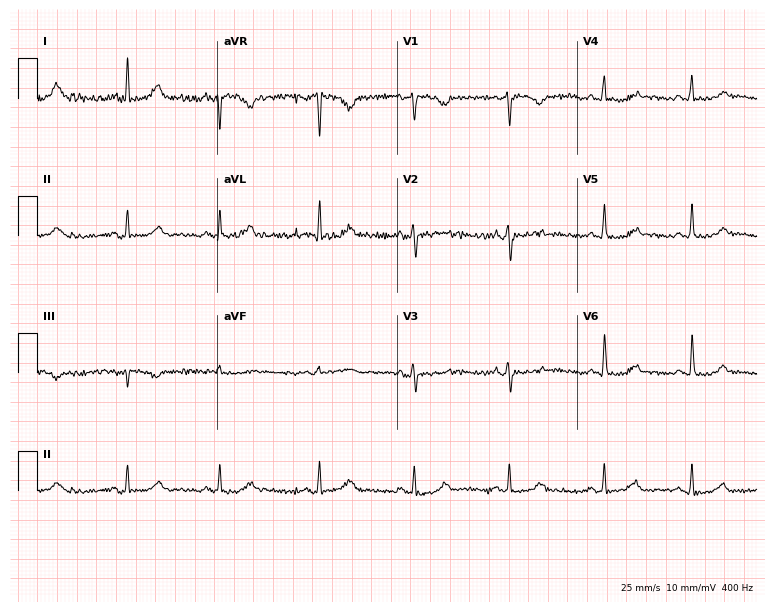
12-lead ECG (7.3-second recording at 400 Hz) from a female, 29 years old. Labelled as a normal ECG.